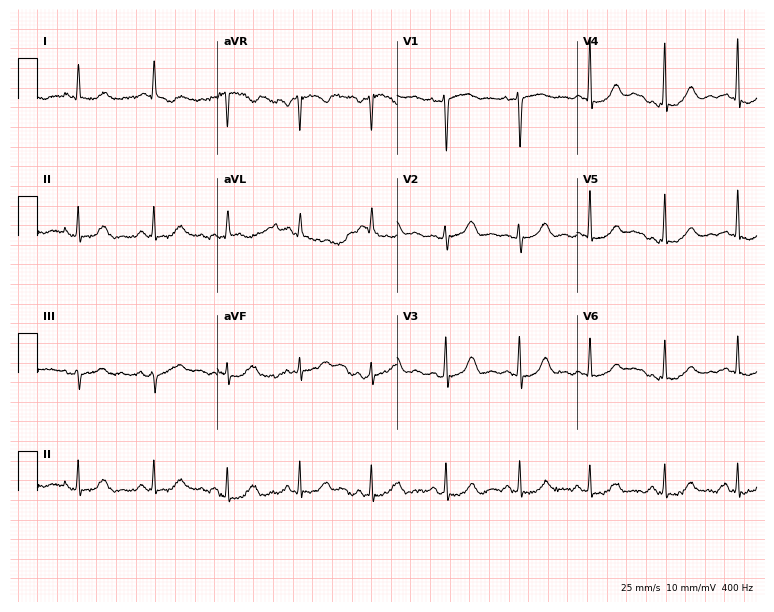
12-lead ECG from a 77-year-old female. No first-degree AV block, right bundle branch block, left bundle branch block, sinus bradycardia, atrial fibrillation or sinus tachycardia recorded for this tracing.